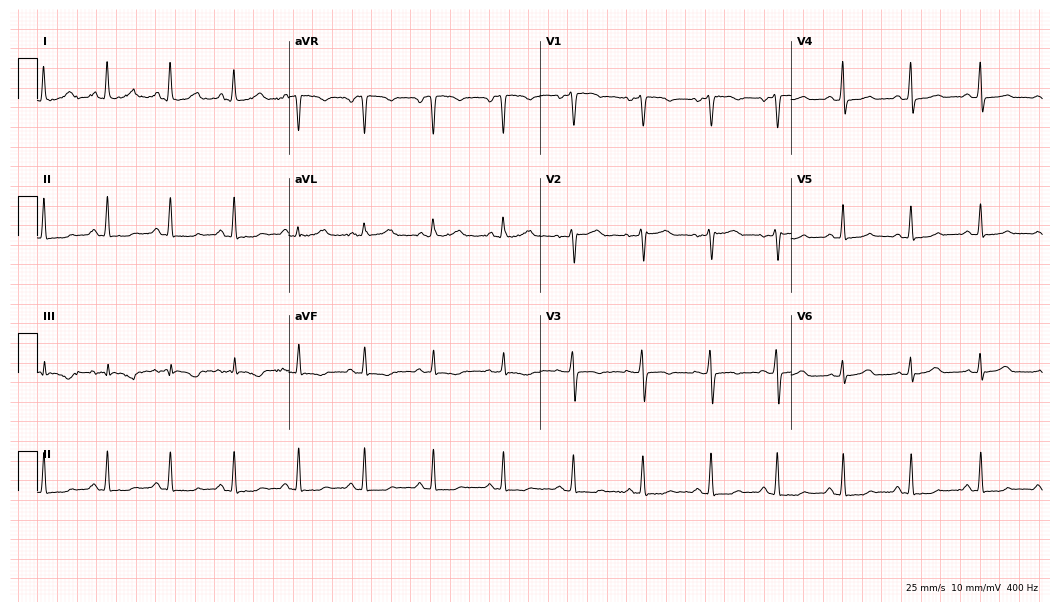
Electrocardiogram (10.2-second recording at 400 Hz), a 38-year-old female patient. Overall reading on record: normal ECG.